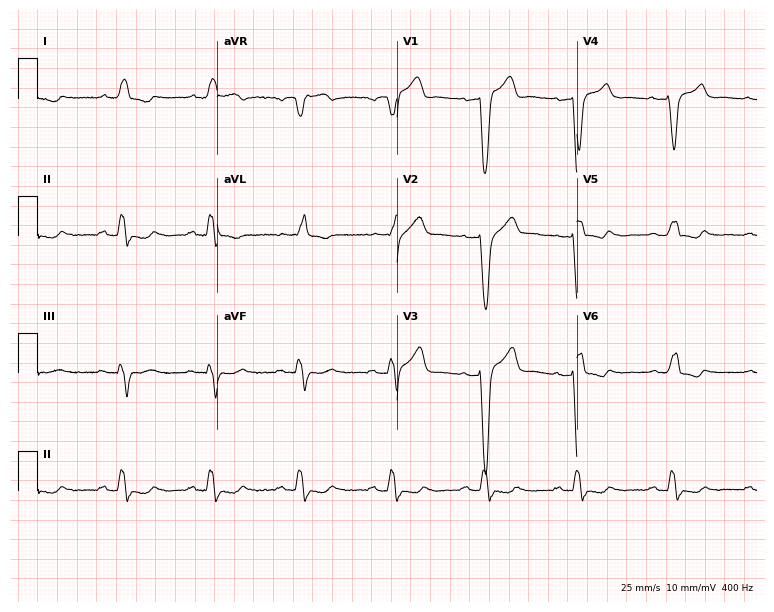
ECG (7.3-second recording at 400 Hz) — a 66-year-old male patient. Findings include left bundle branch block.